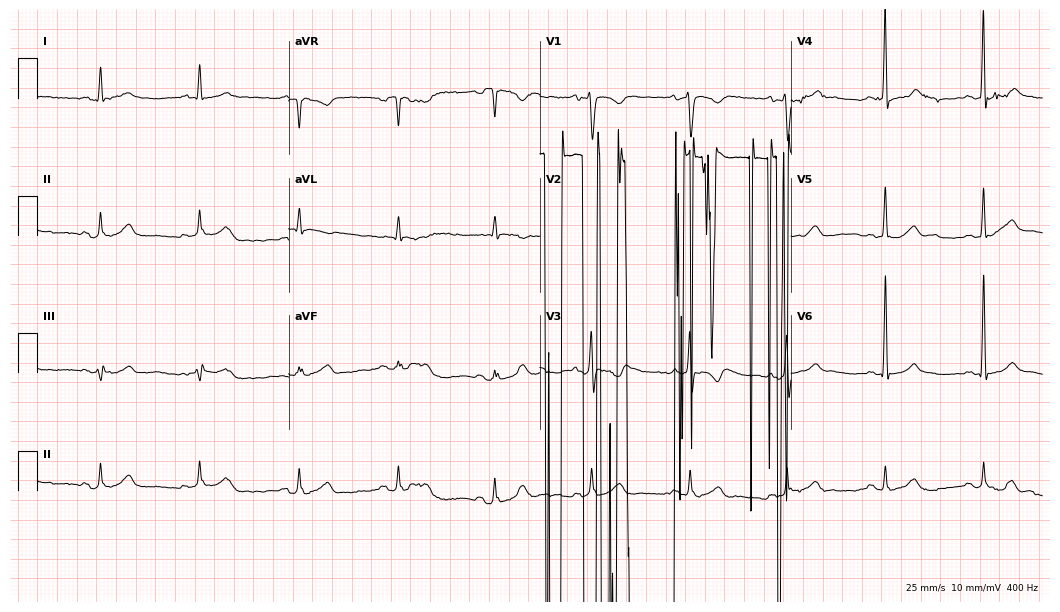
Resting 12-lead electrocardiogram. Patient: a male, 40 years old. None of these six findings is recorded: first-degree AV block, right bundle branch block, left bundle branch block, sinus bradycardia, atrial fibrillation, sinus tachycardia.